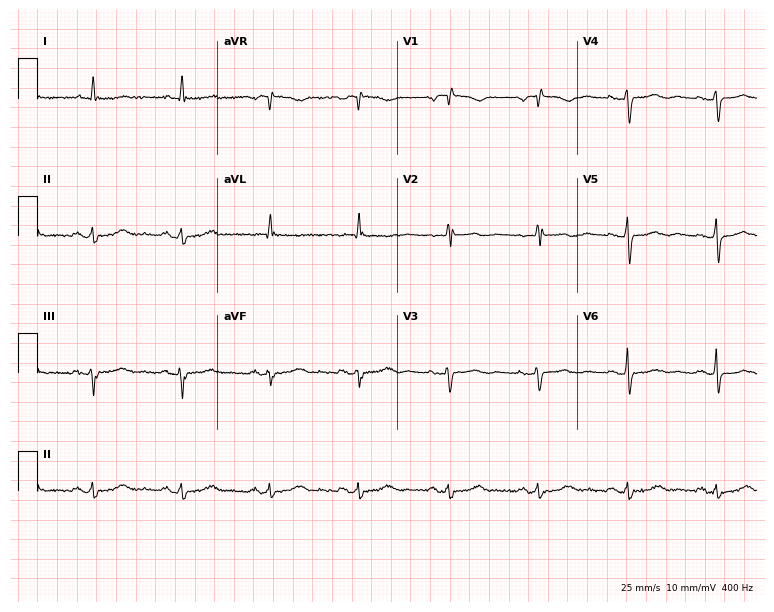
Standard 12-lead ECG recorded from a woman, 79 years old (7.3-second recording at 400 Hz). None of these six findings is recorded: first-degree AV block, right bundle branch block, left bundle branch block, sinus bradycardia, atrial fibrillation, sinus tachycardia.